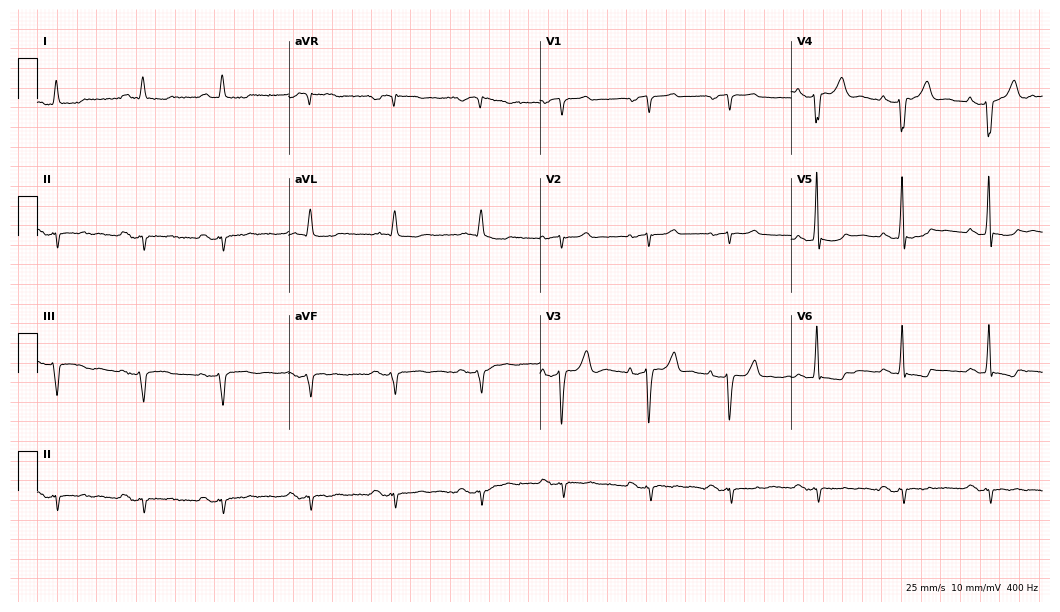
ECG — a 73-year-old male. Screened for six findings — first-degree AV block, right bundle branch block (RBBB), left bundle branch block (LBBB), sinus bradycardia, atrial fibrillation (AF), sinus tachycardia — none is recorded. Findings outside these six are not listed.